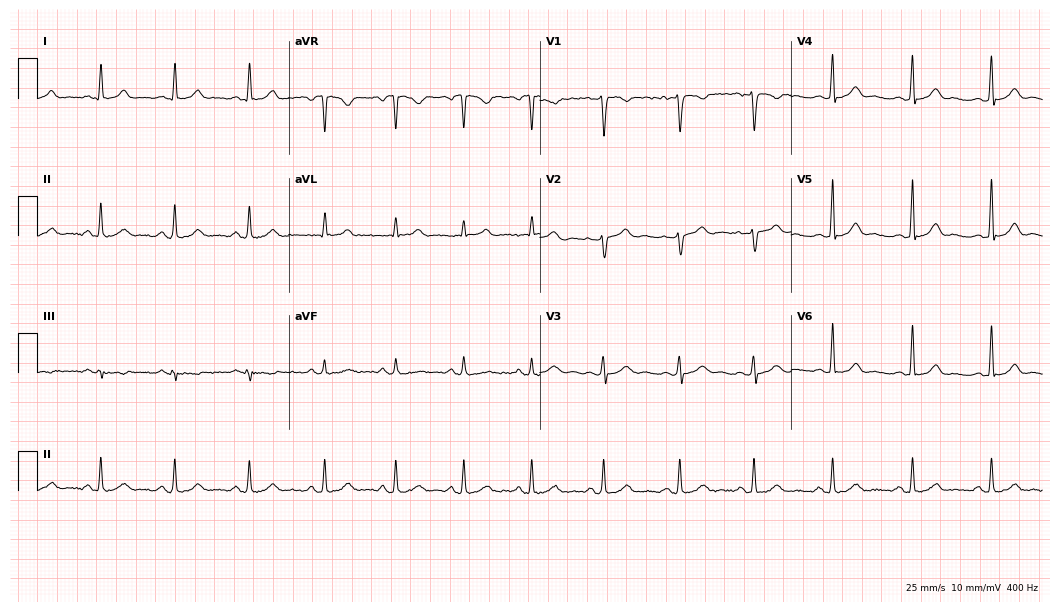
Electrocardiogram, a 31-year-old female. Overall reading on record: normal ECG.